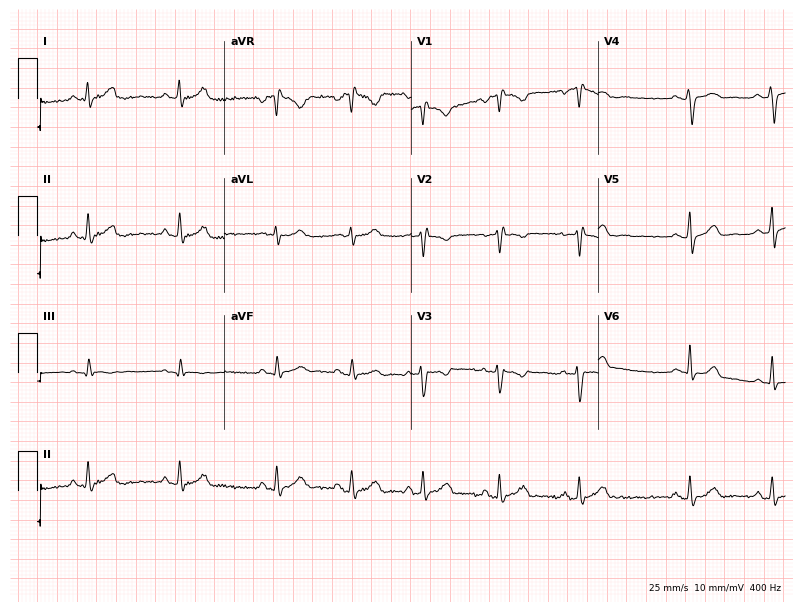
Standard 12-lead ECG recorded from a 26-year-old female (7.6-second recording at 400 Hz). None of these six findings is recorded: first-degree AV block, right bundle branch block (RBBB), left bundle branch block (LBBB), sinus bradycardia, atrial fibrillation (AF), sinus tachycardia. Only these six findings were labelled.